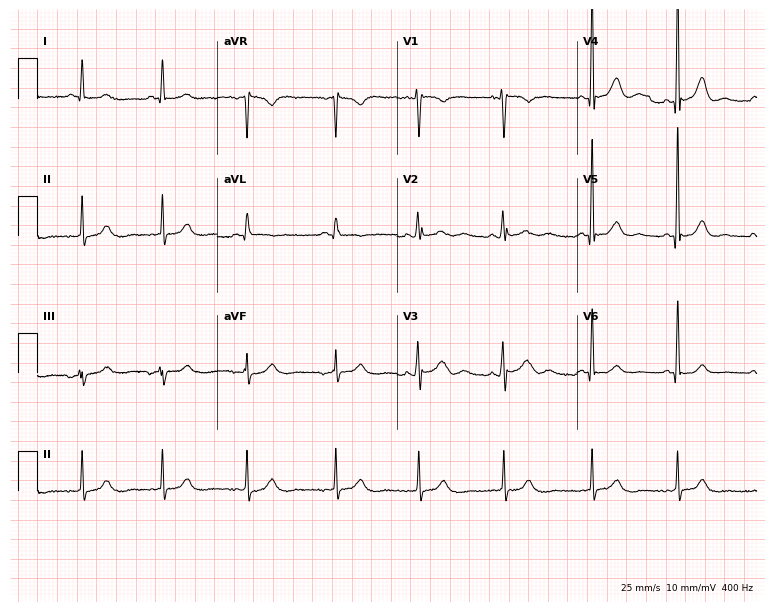
Resting 12-lead electrocardiogram (7.3-second recording at 400 Hz). Patient: a male, 17 years old. Read as a normal ECG.